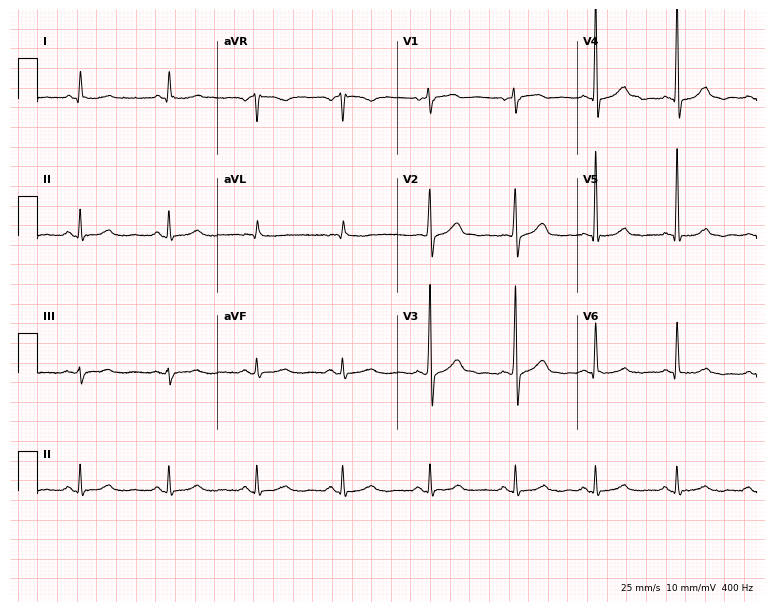
Electrocardiogram (7.3-second recording at 400 Hz), a 76-year-old male. Overall reading on record: normal ECG.